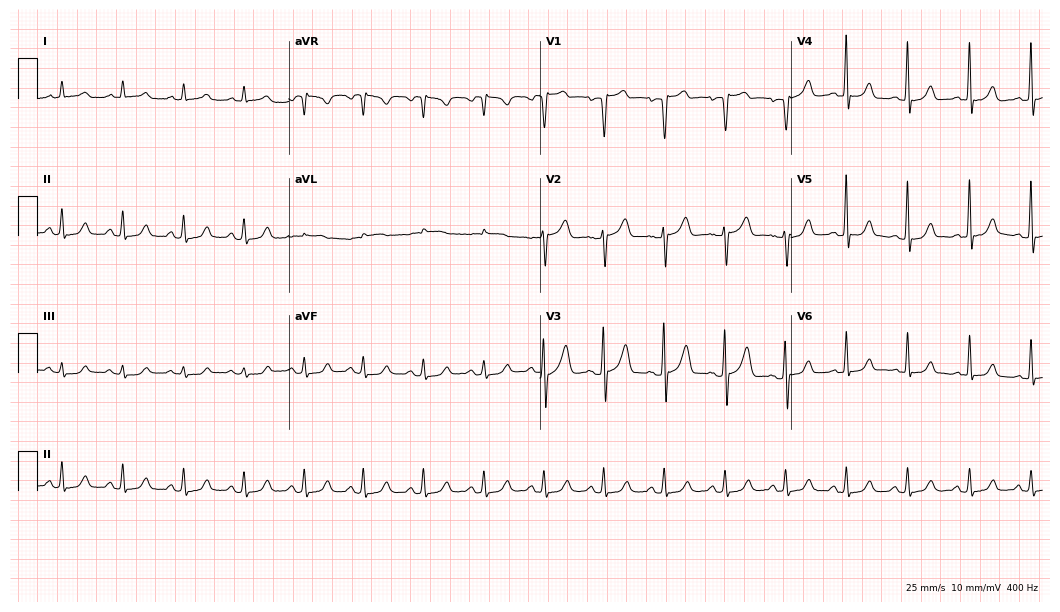
Resting 12-lead electrocardiogram. Patient: a 57-year-old man. Read as a normal ECG.